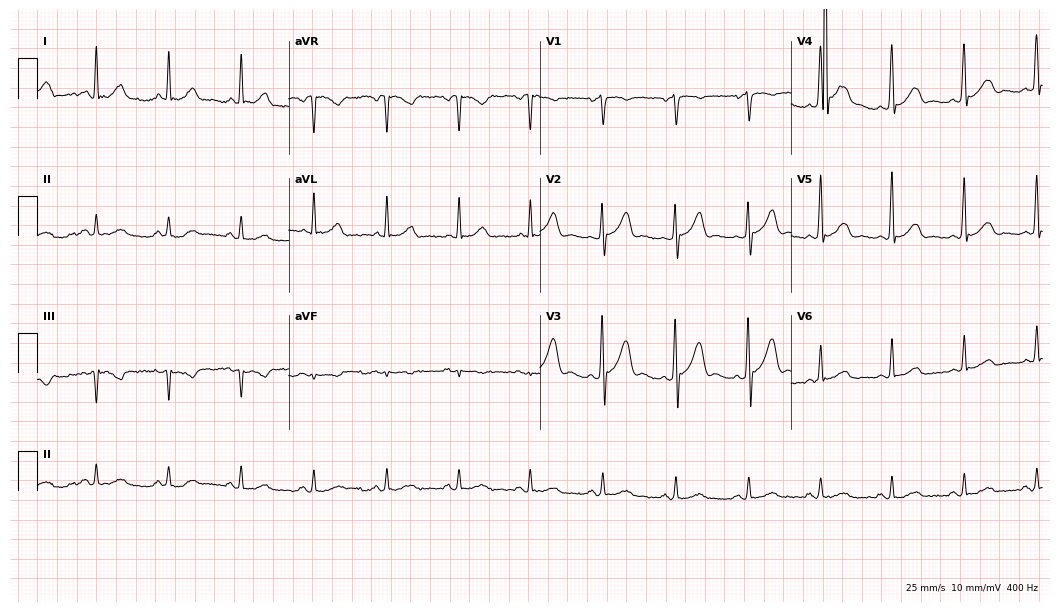
Electrocardiogram (10.2-second recording at 400 Hz), a man, 66 years old. Of the six screened findings (first-degree AV block, right bundle branch block (RBBB), left bundle branch block (LBBB), sinus bradycardia, atrial fibrillation (AF), sinus tachycardia), none is recorded.